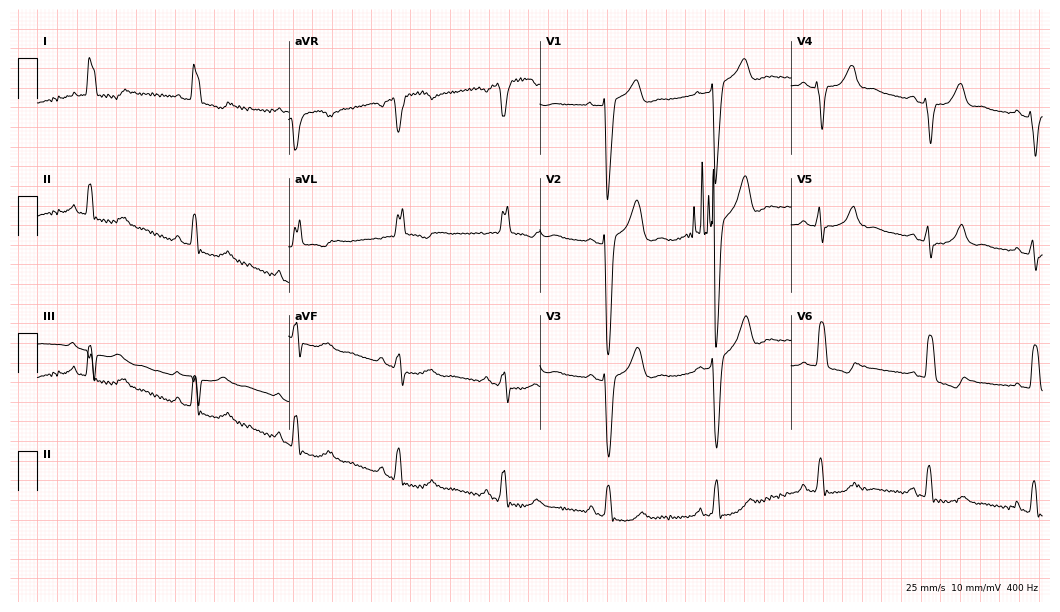
12-lead ECG from a female, 62 years old (10.2-second recording at 400 Hz). Shows left bundle branch block (LBBB).